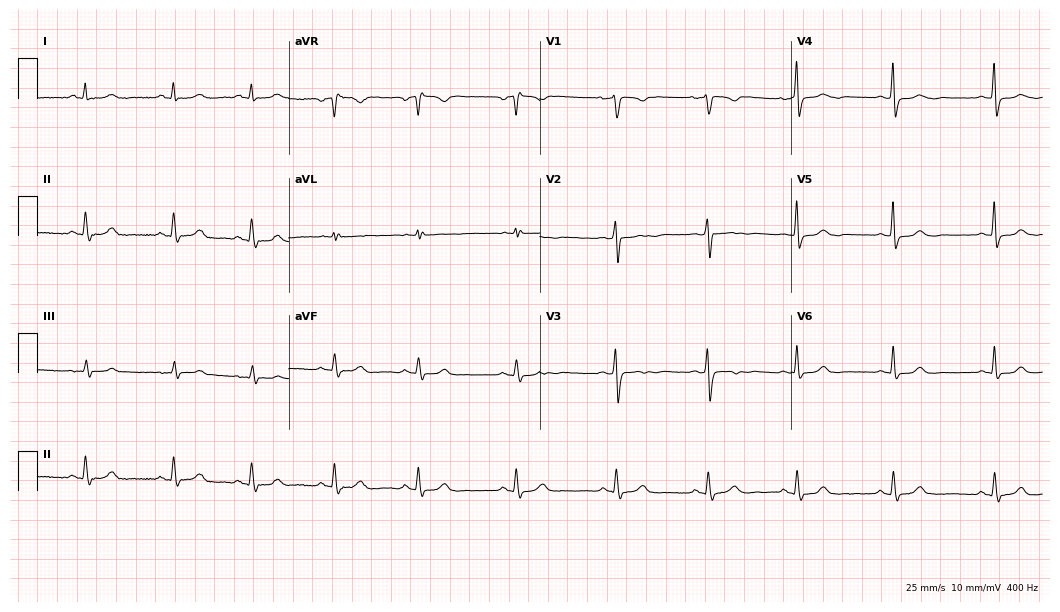
12-lead ECG from a female, 32 years old (10.2-second recording at 400 Hz). No first-degree AV block, right bundle branch block, left bundle branch block, sinus bradycardia, atrial fibrillation or sinus tachycardia recorded for this tracing.